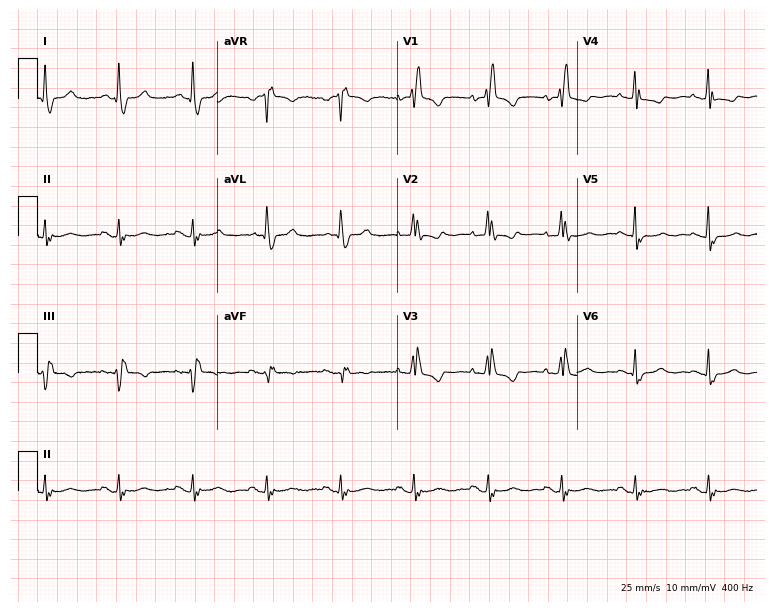
12-lead ECG from a 77-year-old female patient. Shows right bundle branch block.